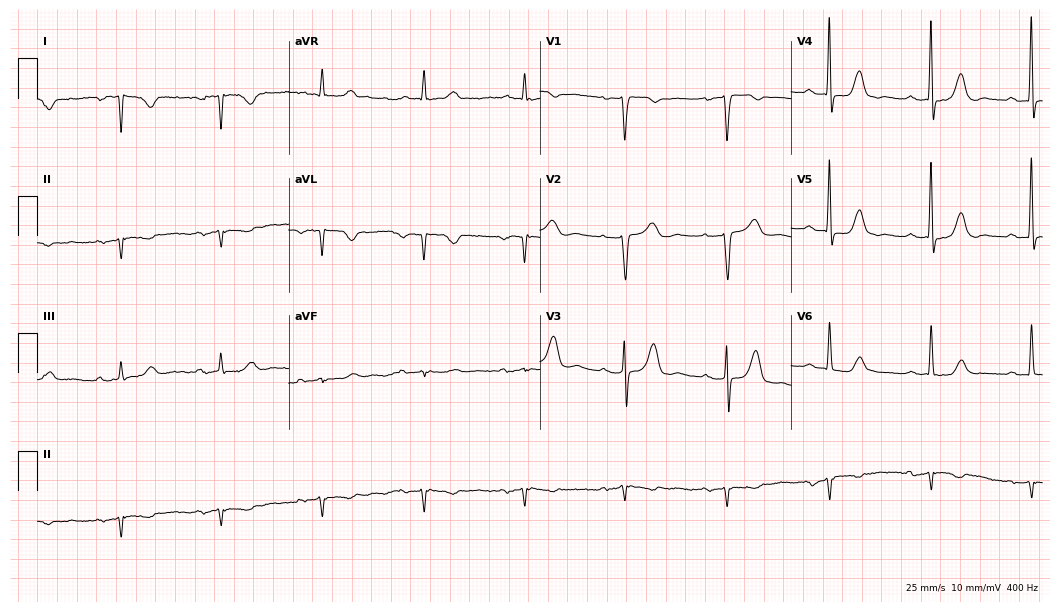
Resting 12-lead electrocardiogram. Patient: a 70-year-old female. None of these six findings is recorded: first-degree AV block, right bundle branch block, left bundle branch block, sinus bradycardia, atrial fibrillation, sinus tachycardia.